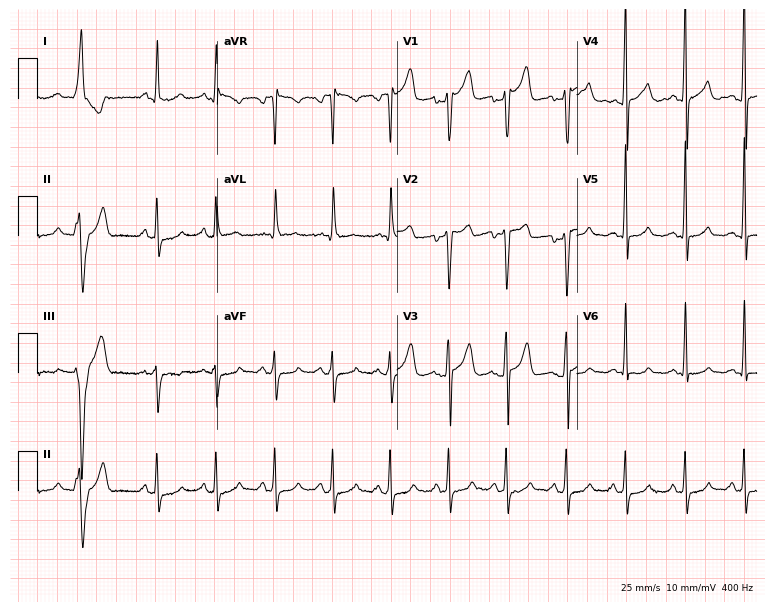
12-lead ECG from a 36-year-old male patient (7.3-second recording at 400 Hz). No first-degree AV block, right bundle branch block, left bundle branch block, sinus bradycardia, atrial fibrillation or sinus tachycardia recorded for this tracing.